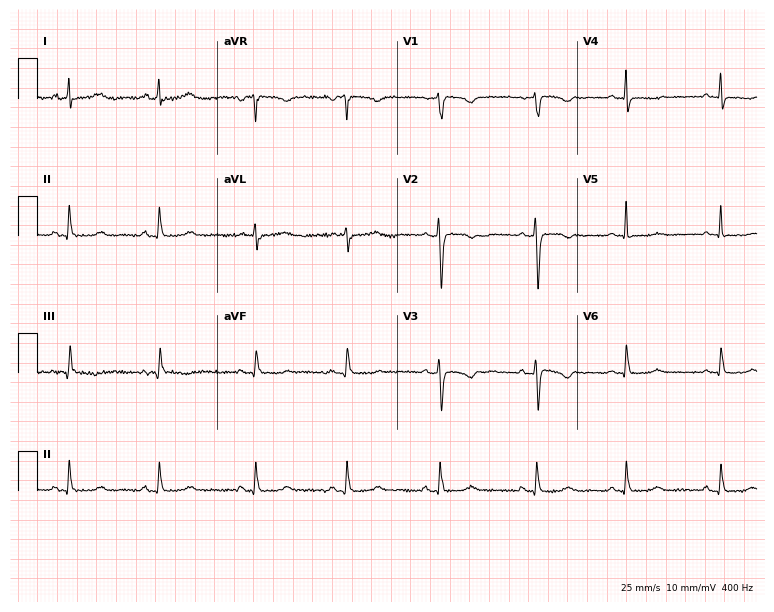
Electrocardiogram, a female patient, 54 years old. Of the six screened findings (first-degree AV block, right bundle branch block, left bundle branch block, sinus bradycardia, atrial fibrillation, sinus tachycardia), none is recorded.